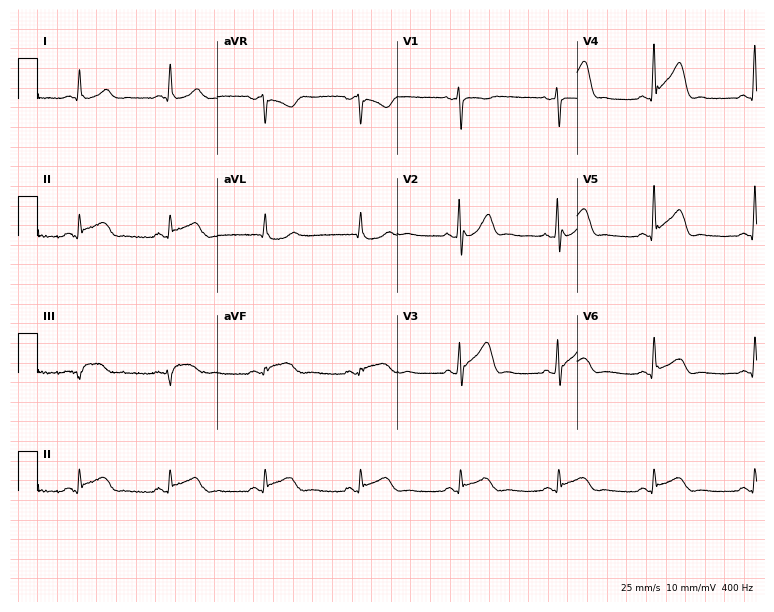
Resting 12-lead electrocardiogram. Patient: a 72-year-old man. None of these six findings is recorded: first-degree AV block, right bundle branch block, left bundle branch block, sinus bradycardia, atrial fibrillation, sinus tachycardia.